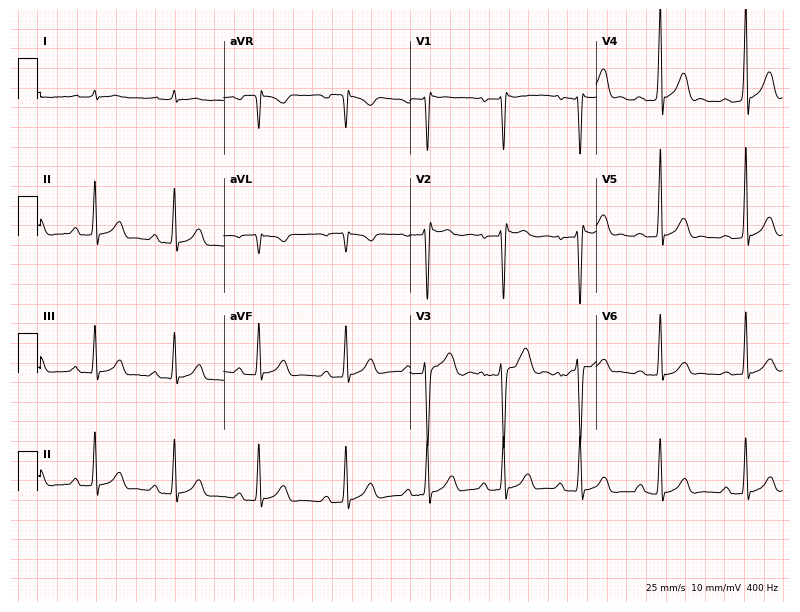
Electrocardiogram (7.6-second recording at 400 Hz), a male patient, 17 years old. Interpretation includes first-degree AV block.